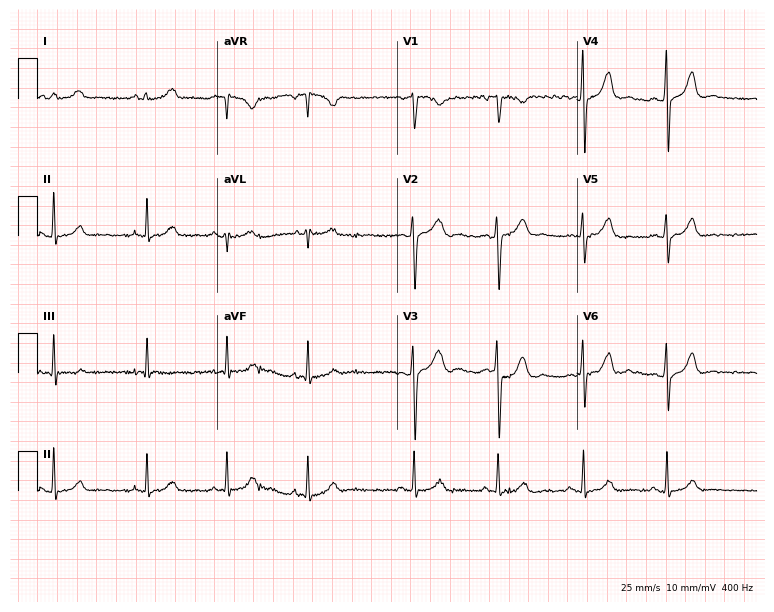
Resting 12-lead electrocardiogram. Patient: a female, 17 years old. Read as a normal ECG.